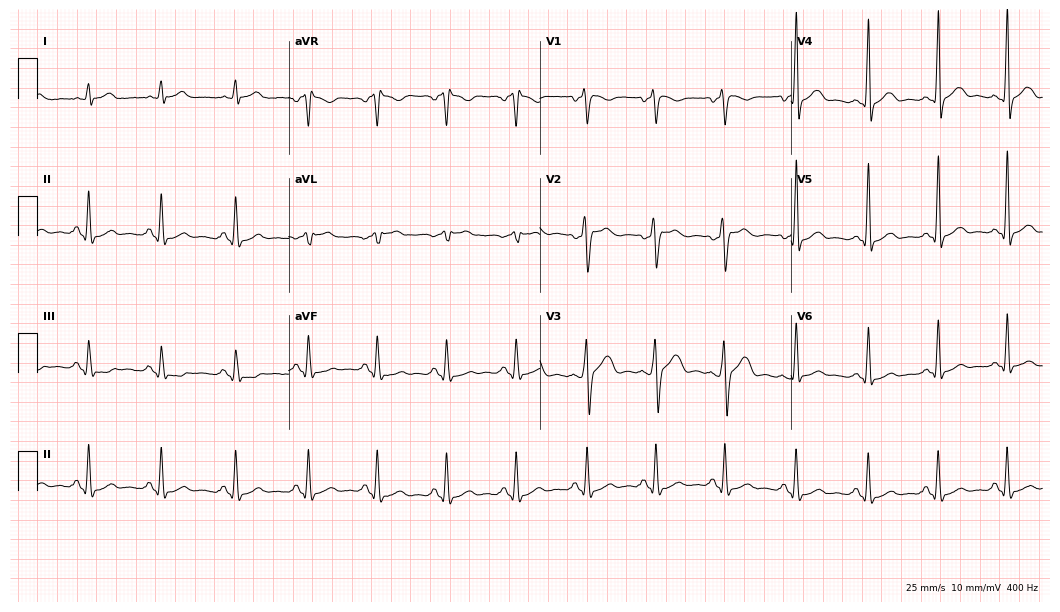
12-lead ECG from a male, 46 years old. No first-degree AV block, right bundle branch block, left bundle branch block, sinus bradycardia, atrial fibrillation or sinus tachycardia recorded for this tracing. Only these six findings were labelled.